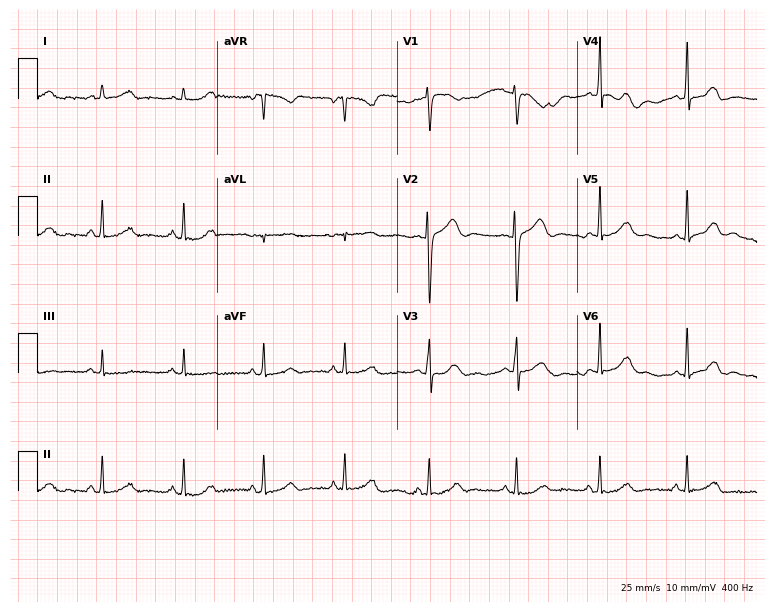
ECG — a 38-year-old woman. Screened for six findings — first-degree AV block, right bundle branch block (RBBB), left bundle branch block (LBBB), sinus bradycardia, atrial fibrillation (AF), sinus tachycardia — none is recorded. Other findings, if any, are not listed.